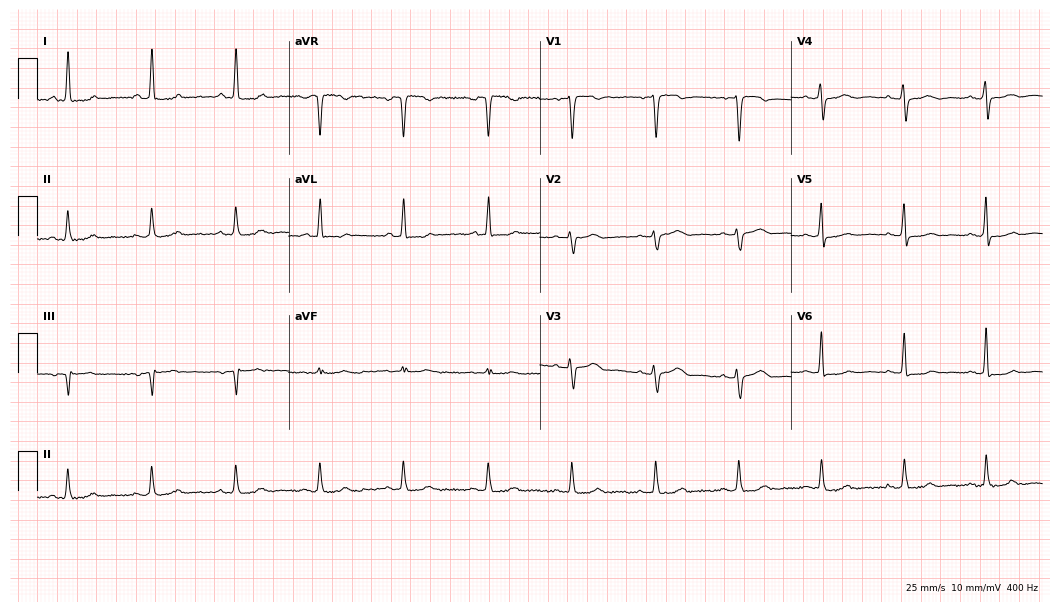
Resting 12-lead electrocardiogram. Patient: a 53-year-old woman. None of these six findings is recorded: first-degree AV block, right bundle branch block (RBBB), left bundle branch block (LBBB), sinus bradycardia, atrial fibrillation (AF), sinus tachycardia.